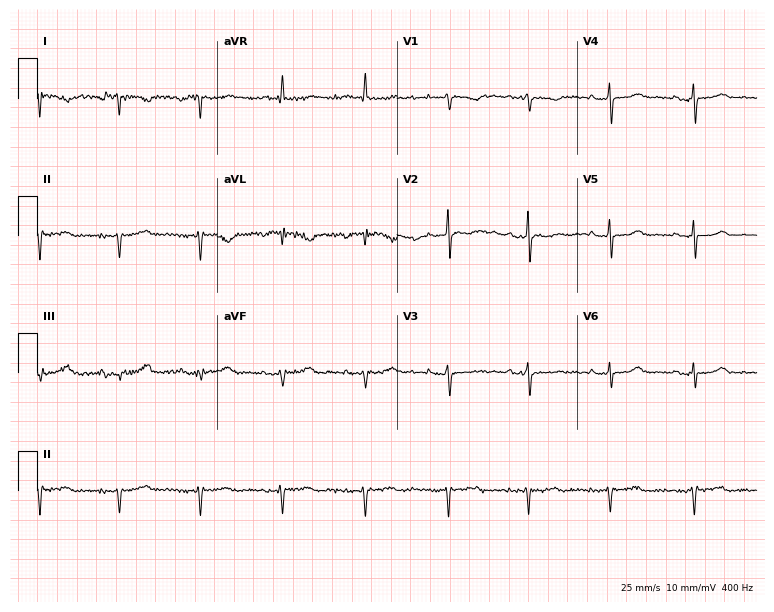
12-lead ECG from a 47-year-old woman. Screened for six findings — first-degree AV block, right bundle branch block, left bundle branch block, sinus bradycardia, atrial fibrillation, sinus tachycardia — none is recorded.